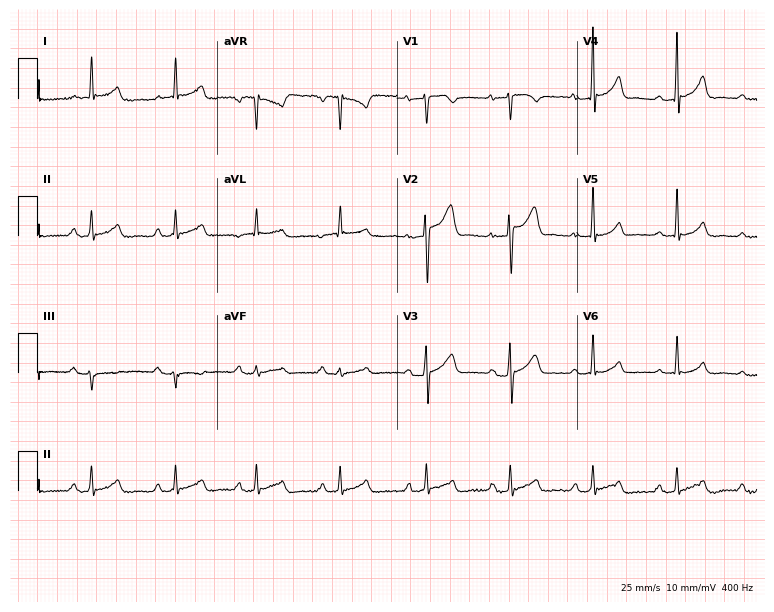
ECG — a 52-year-old man. Labelled as a normal ECG.